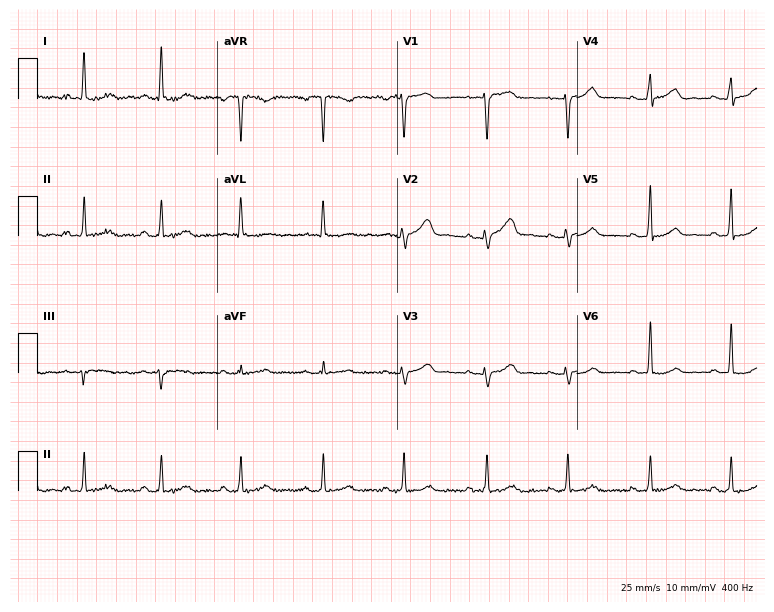
Electrocardiogram, a 54-year-old female patient. Overall reading on record: normal ECG.